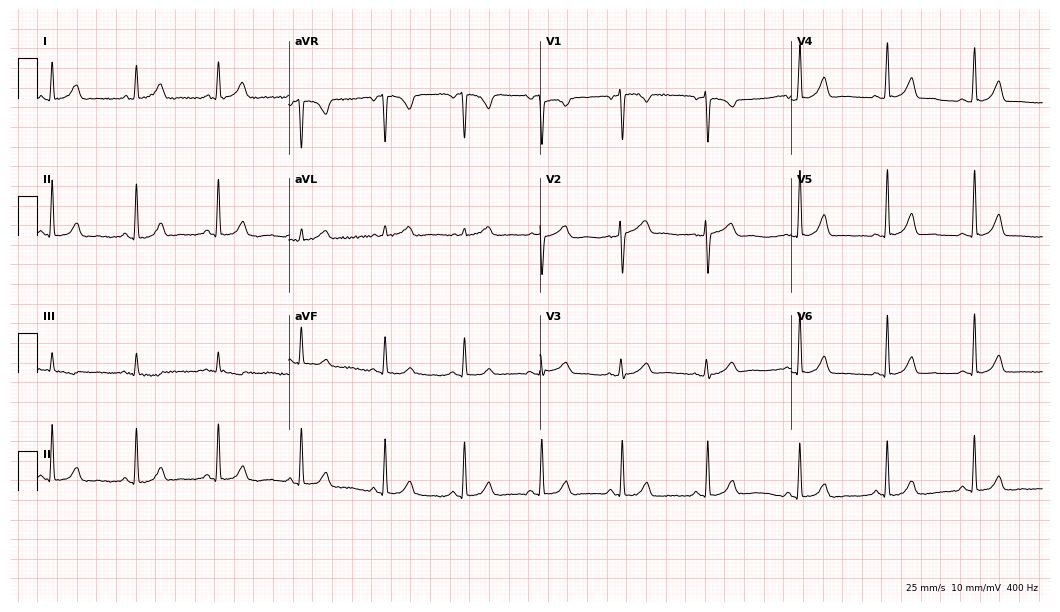
Resting 12-lead electrocardiogram. Patient: a female, 41 years old. None of these six findings is recorded: first-degree AV block, right bundle branch block (RBBB), left bundle branch block (LBBB), sinus bradycardia, atrial fibrillation (AF), sinus tachycardia.